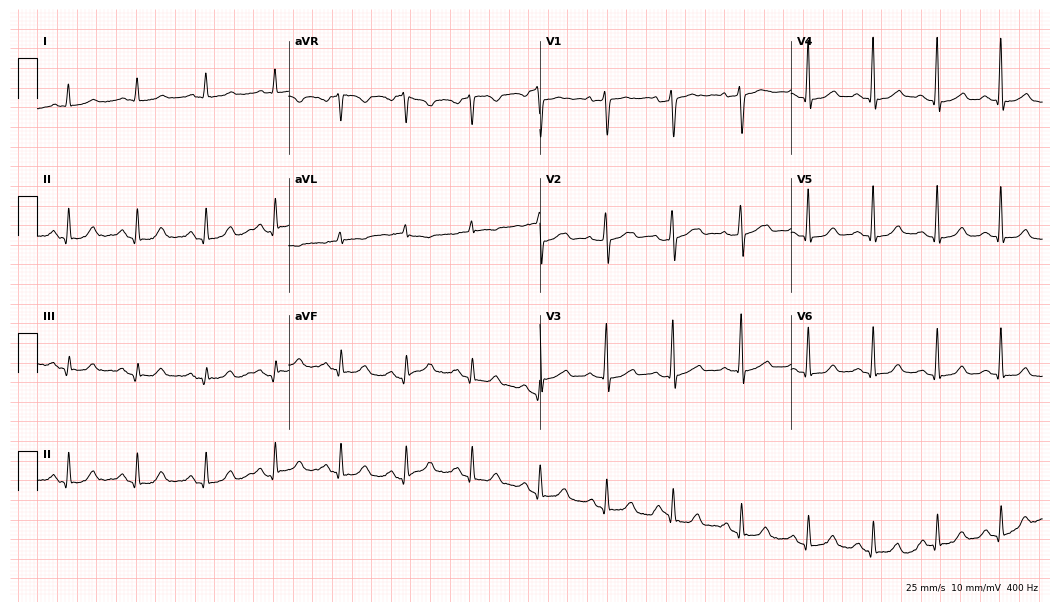
Electrocardiogram (10.2-second recording at 400 Hz), a female, 52 years old. Overall reading on record: normal ECG.